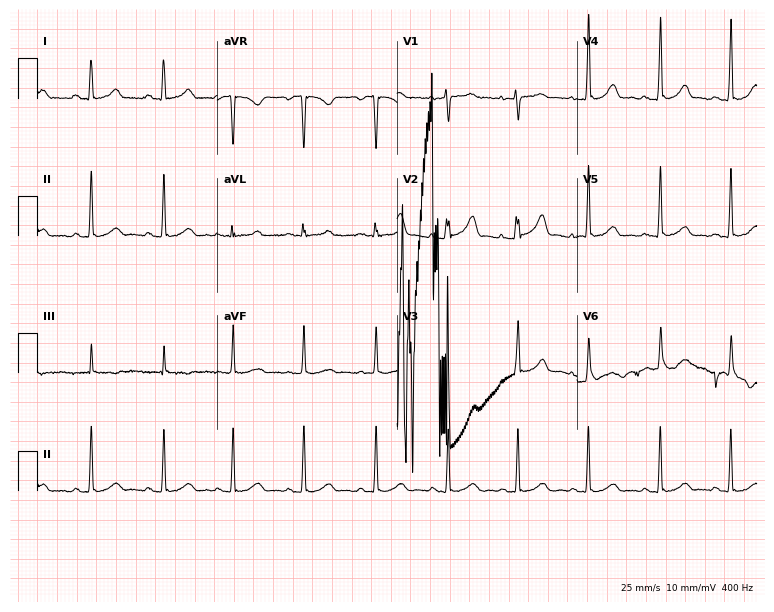
12-lead ECG from a 41-year-old female. Recorded interpretation: within normal limits.